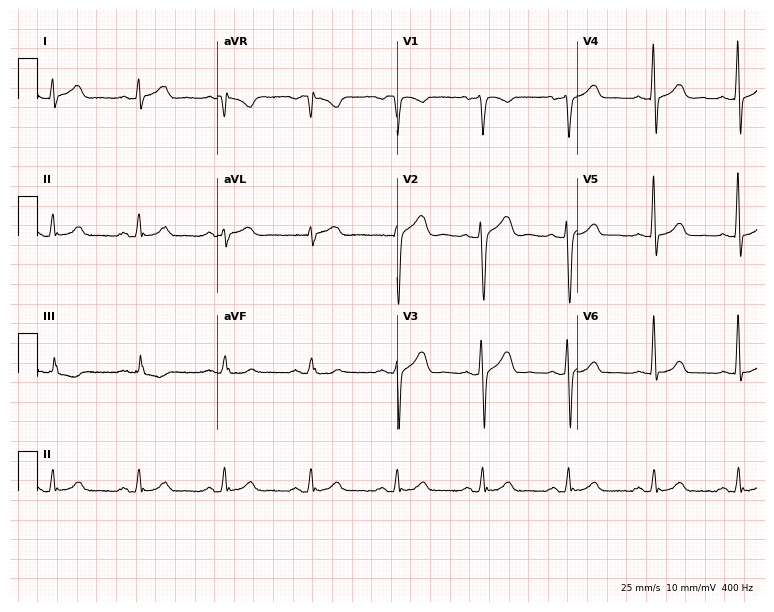
12-lead ECG from a 46-year-old male patient. Recorded interpretation: within normal limits.